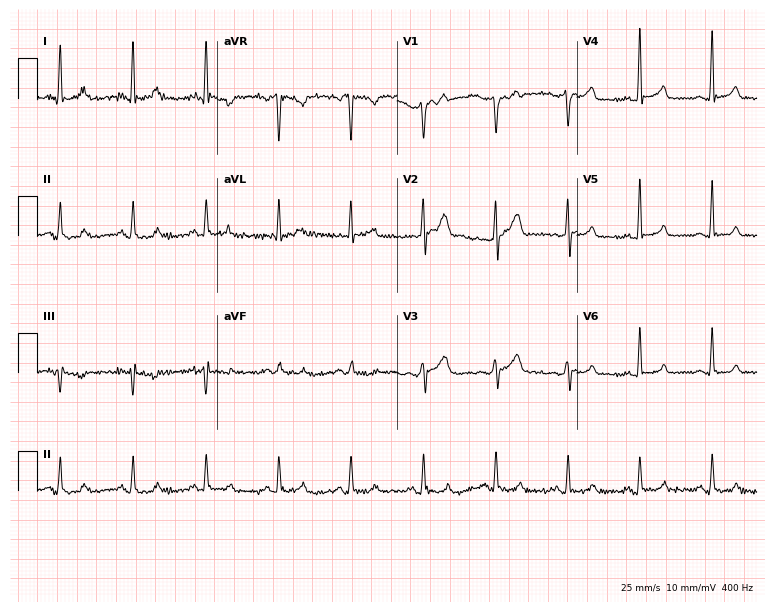
Resting 12-lead electrocardiogram. Patient: a 51-year-old man. None of these six findings is recorded: first-degree AV block, right bundle branch block (RBBB), left bundle branch block (LBBB), sinus bradycardia, atrial fibrillation (AF), sinus tachycardia.